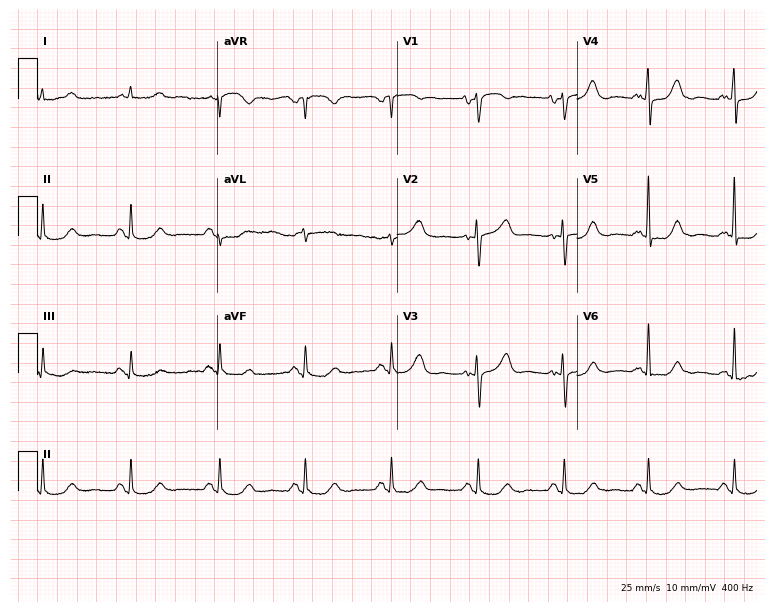
Standard 12-lead ECG recorded from a 28-year-old female. None of these six findings is recorded: first-degree AV block, right bundle branch block (RBBB), left bundle branch block (LBBB), sinus bradycardia, atrial fibrillation (AF), sinus tachycardia.